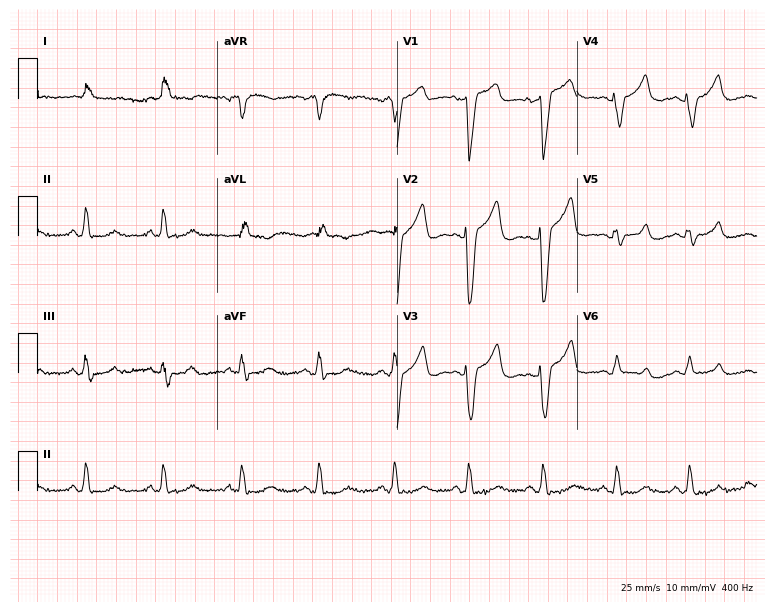
Standard 12-lead ECG recorded from a 72-year-old female patient. The tracing shows left bundle branch block.